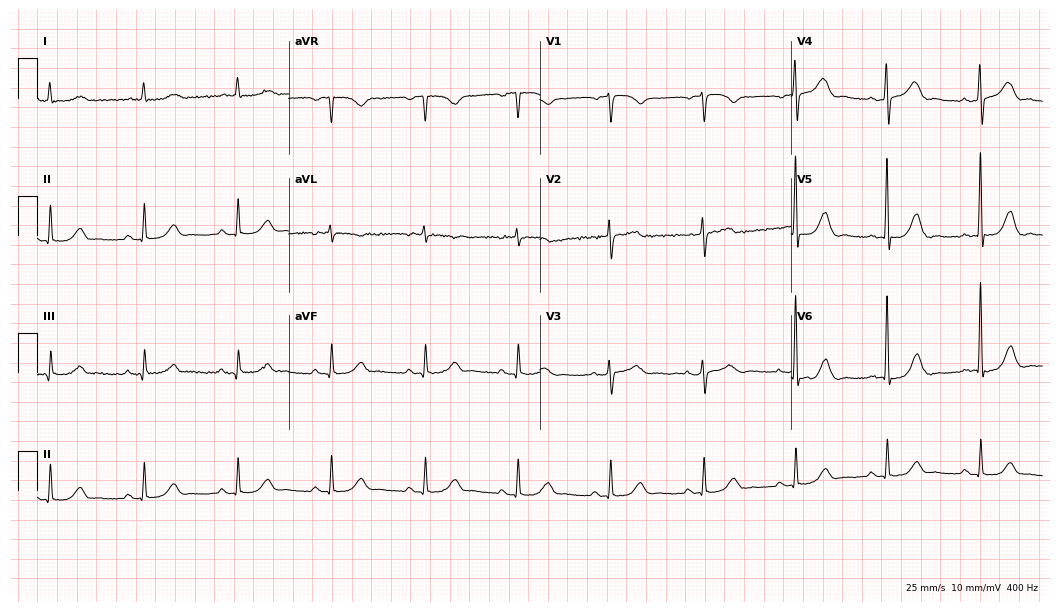
Standard 12-lead ECG recorded from a 76-year-old female (10.2-second recording at 400 Hz). Read as a normal ECG.